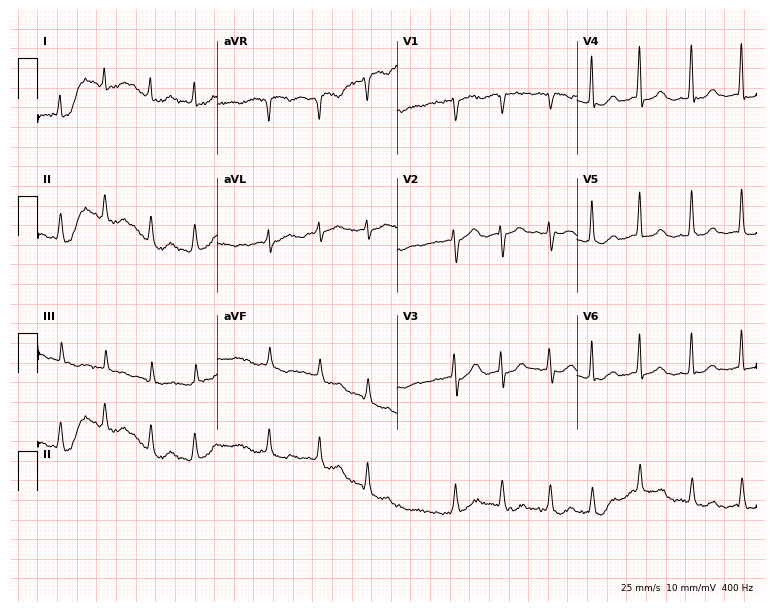
Electrocardiogram, a 71-year-old female. Interpretation includes atrial fibrillation (AF).